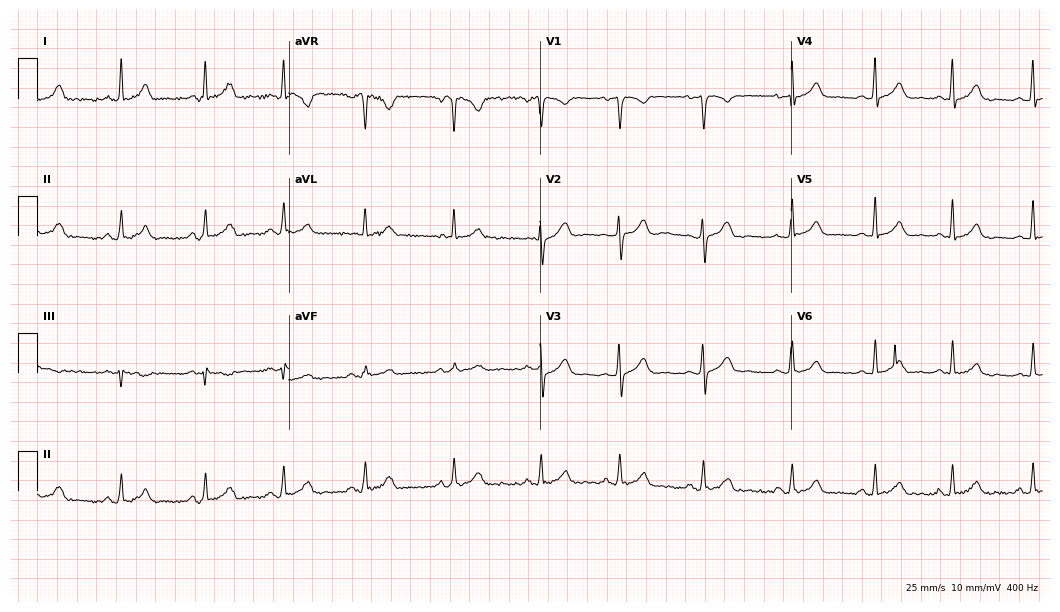
ECG (10.2-second recording at 400 Hz) — a female patient, 28 years old. Labelled as a normal ECG.